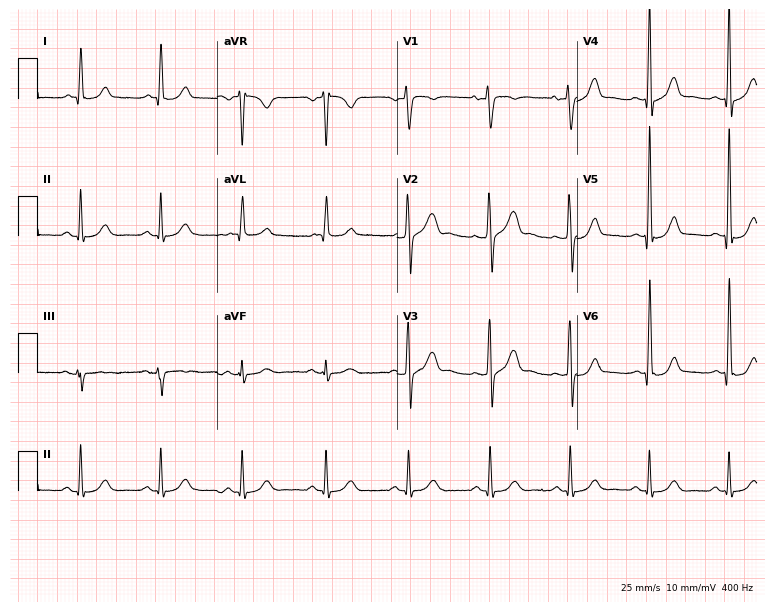
12-lead ECG from a 67-year-old male (7.3-second recording at 400 Hz). Recorded interpretation: within normal limits.